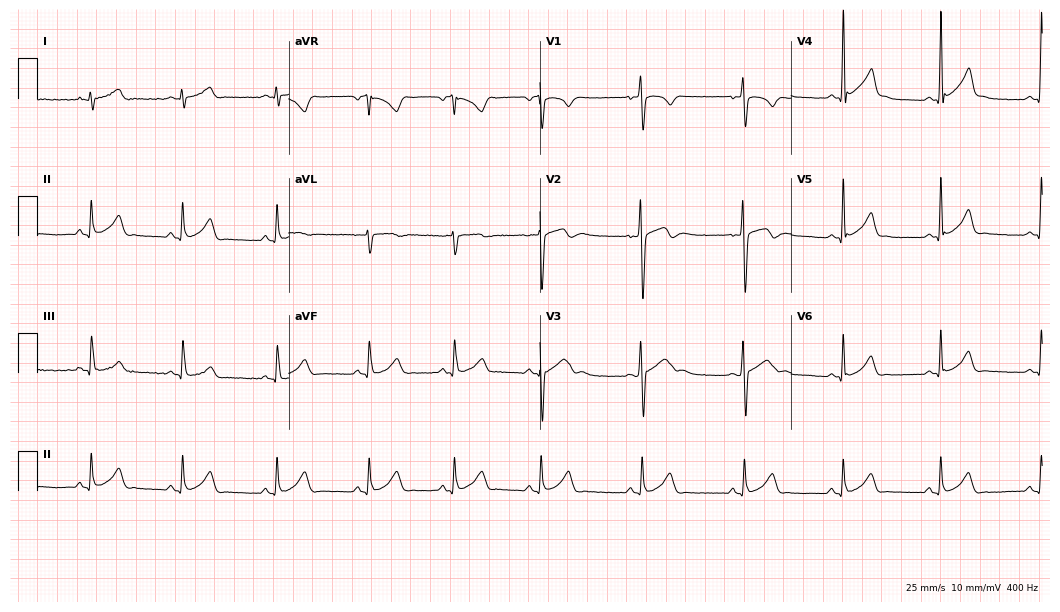
ECG (10.2-second recording at 400 Hz) — a male patient, 17 years old. Labelled as a normal ECG.